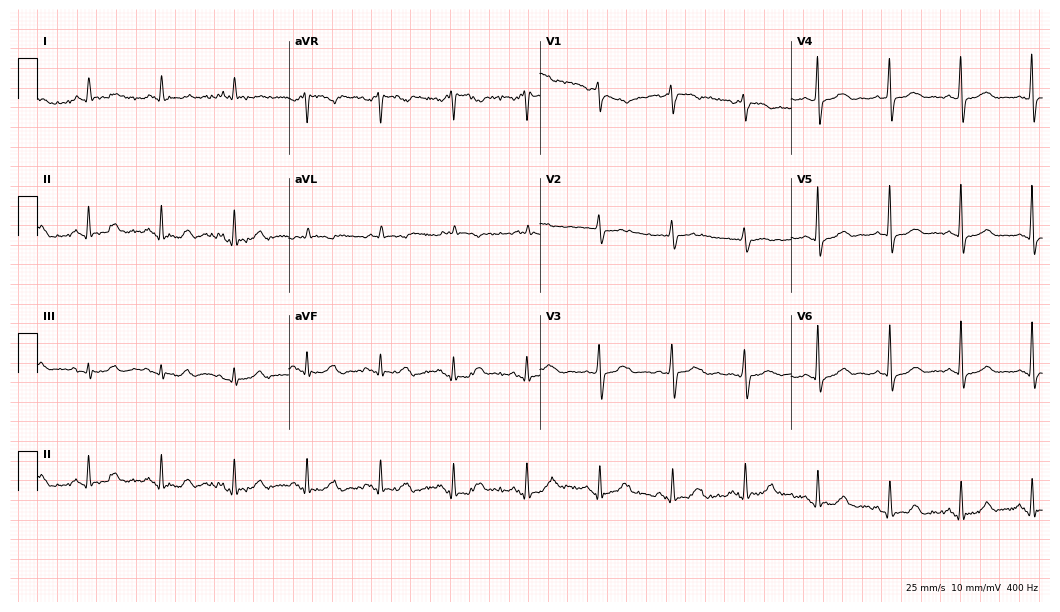
Resting 12-lead electrocardiogram (10.2-second recording at 400 Hz). Patient: an 85-year-old female. Read as a normal ECG.